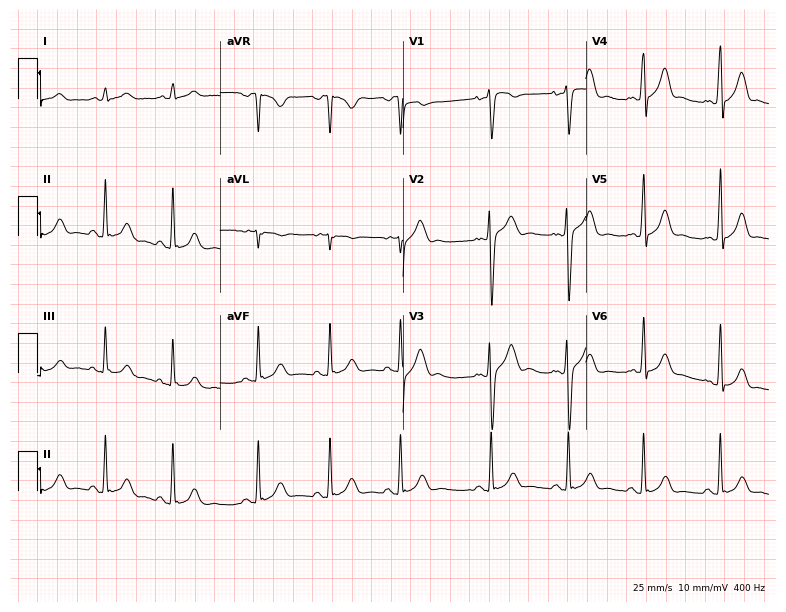
Standard 12-lead ECG recorded from a man, 25 years old (7.5-second recording at 400 Hz). Read as a normal ECG.